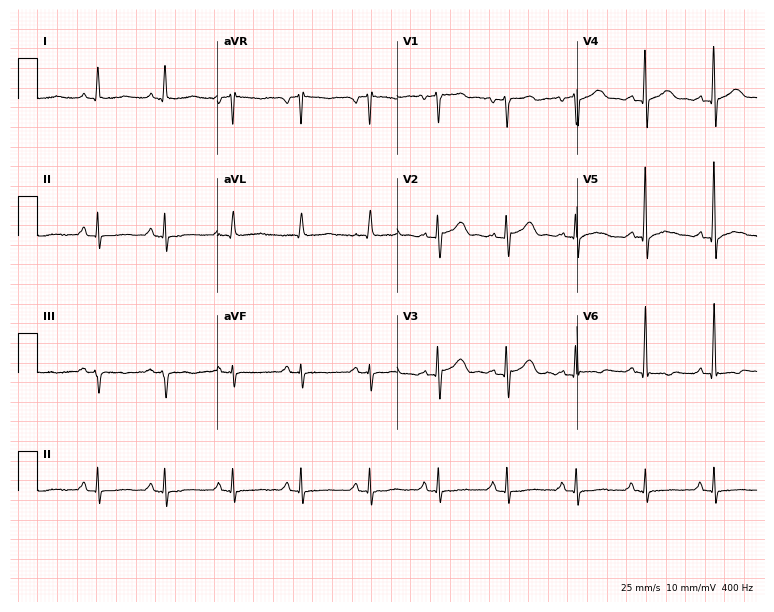
ECG (7.3-second recording at 400 Hz) — a man, 75 years old. Screened for six findings — first-degree AV block, right bundle branch block, left bundle branch block, sinus bradycardia, atrial fibrillation, sinus tachycardia — none is recorded.